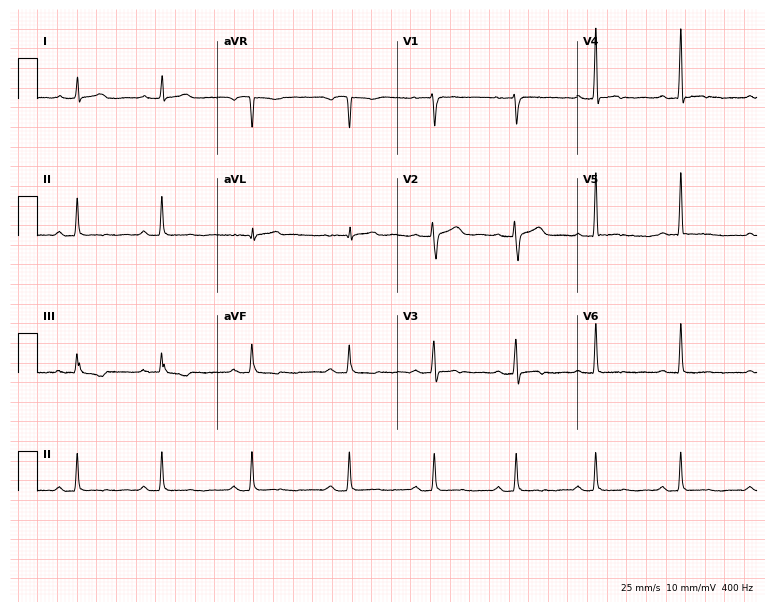
Resting 12-lead electrocardiogram (7.3-second recording at 400 Hz). Patient: a woman, 41 years old. None of these six findings is recorded: first-degree AV block, right bundle branch block, left bundle branch block, sinus bradycardia, atrial fibrillation, sinus tachycardia.